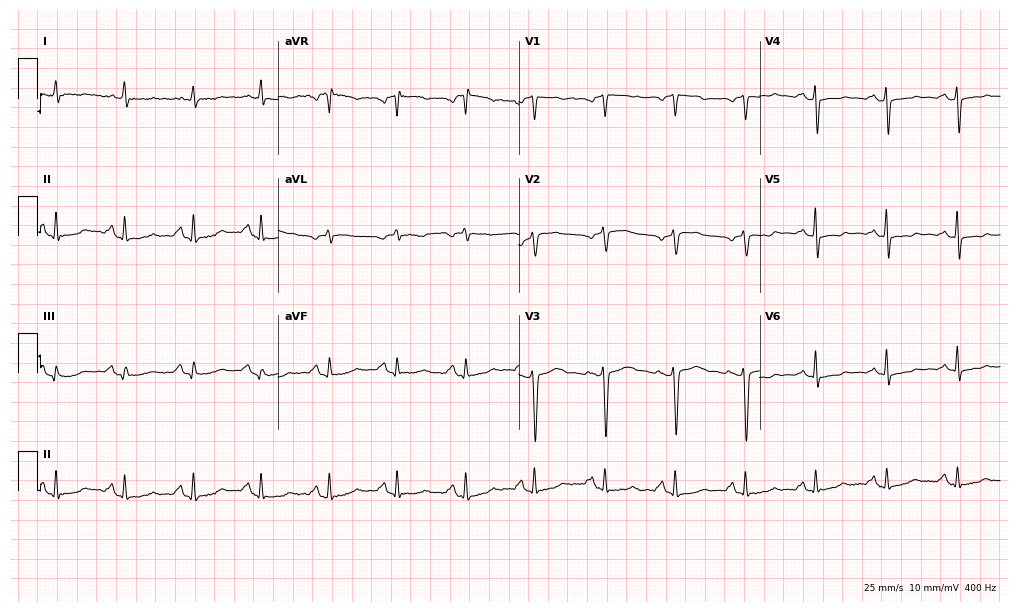
Resting 12-lead electrocardiogram. Patient: a 53-year-old female. None of these six findings is recorded: first-degree AV block, right bundle branch block, left bundle branch block, sinus bradycardia, atrial fibrillation, sinus tachycardia. Findings outside these six are not listed.